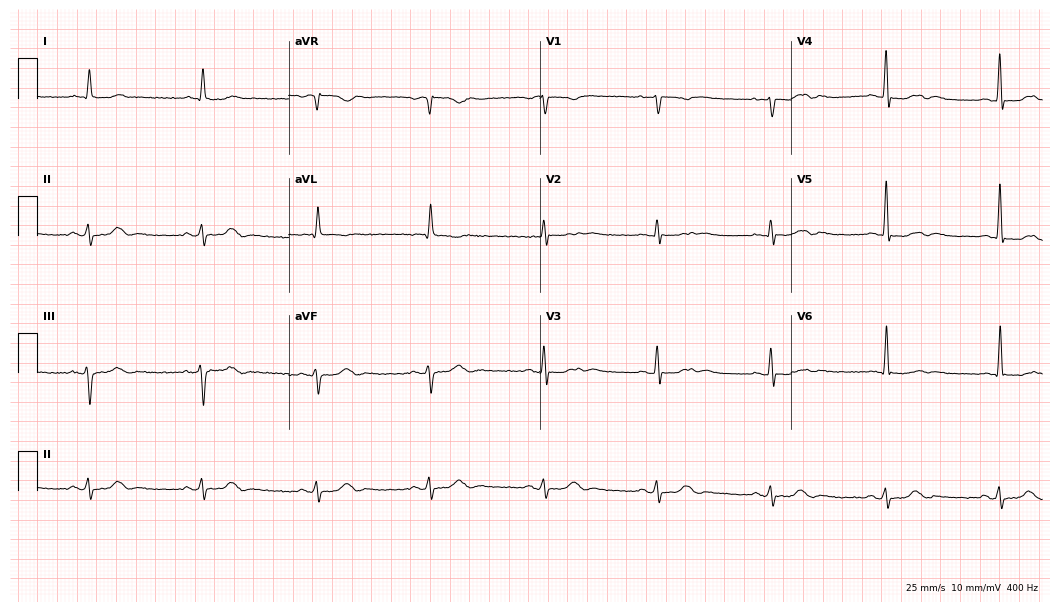
ECG (10.2-second recording at 400 Hz) — an 83-year-old man. Screened for six findings — first-degree AV block, right bundle branch block, left bundle branch block, sinus bradycardia, atrial fibrillation, sinus tachycardia — none is recorded.